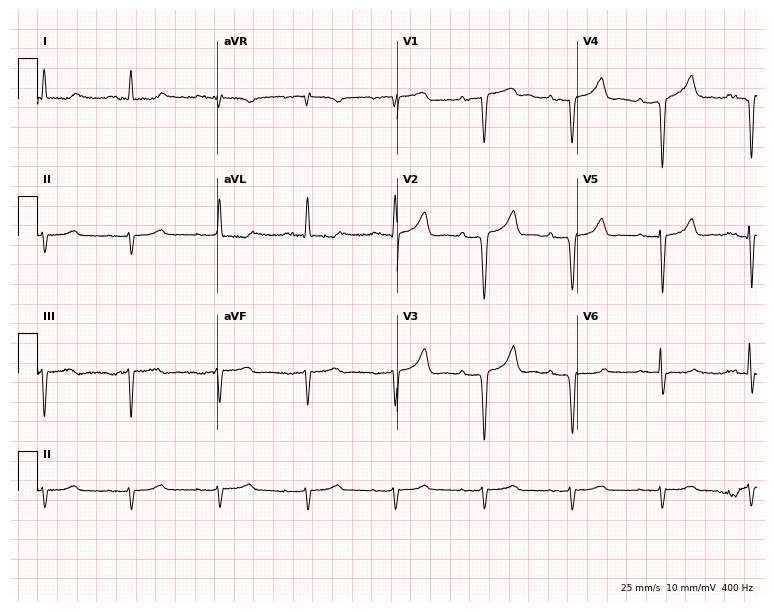
Electrocardiogram (7.3-second recording at 400 Hz), a 67-year-old male. Of the six screened findings (first-degree AV block, right bundle branch block (RBBB), left bundle branch block (LBBB), sinus bradycardia, atrial fibrillation (AF), sinus tachycardia), none is recorded.